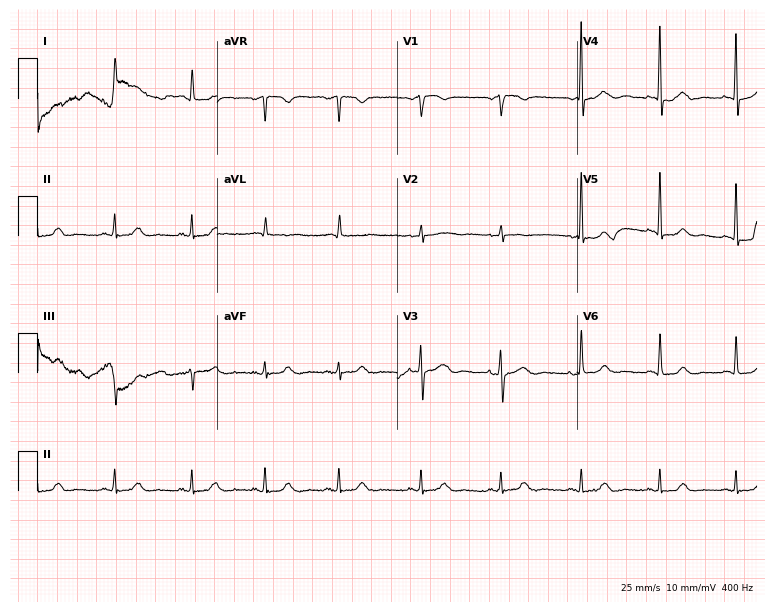
Electrocardiogram, an 84-year-old woman. Of the six screened findings (first-degree AV block, right bundle branch block, left bundle branch block, sinus bradycardia, atrial fibrillation, sinus tachycardia), none is recorded.